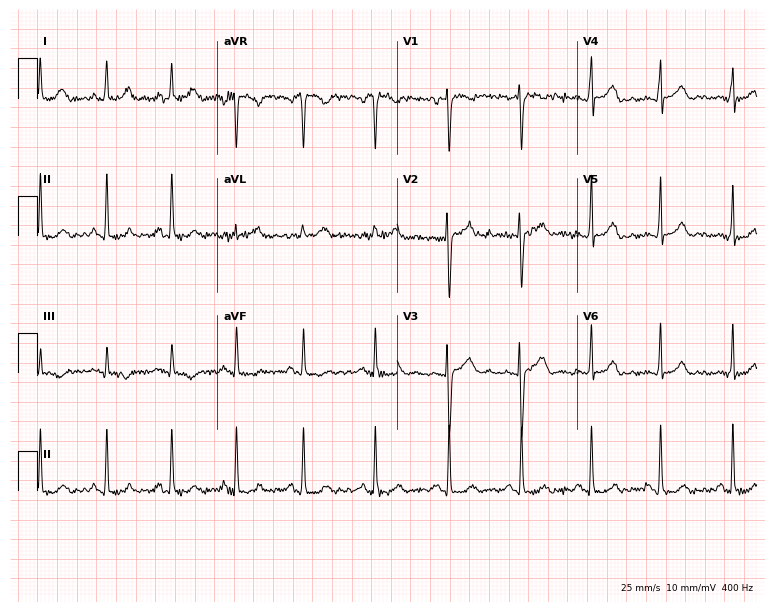
12-lead ECG from a 32-year-old female patient. Screened for six findings — first-degree AV block, right bundle branch block, left bundle branch block, sinus bradycardia, atrial fibrillation, sinus tachycardia — none is recorded. Only these six findings were labelled.